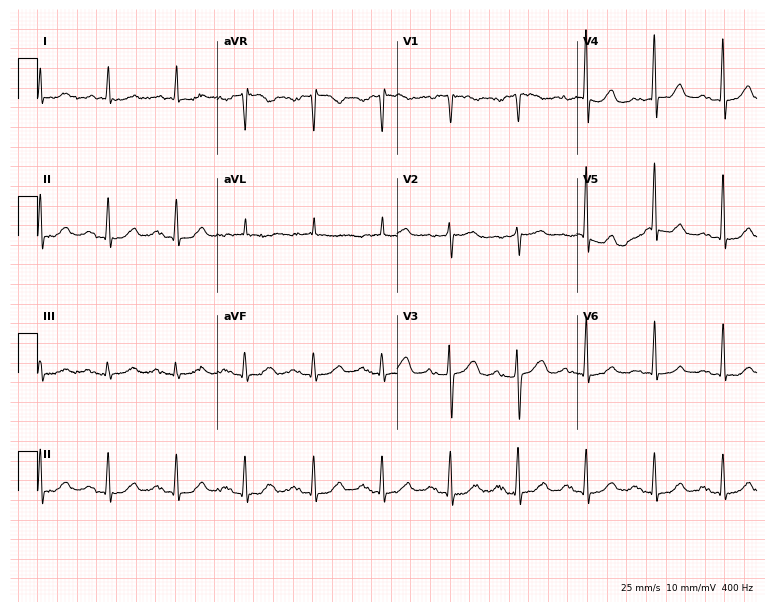
12-lead ECG from a female, 64 years old. No first-degree AV block, right bundle branch block, left bundle branch block, sinus bradycardia, atrial fibrillation or sinus tachycardia recorded for this tracing.